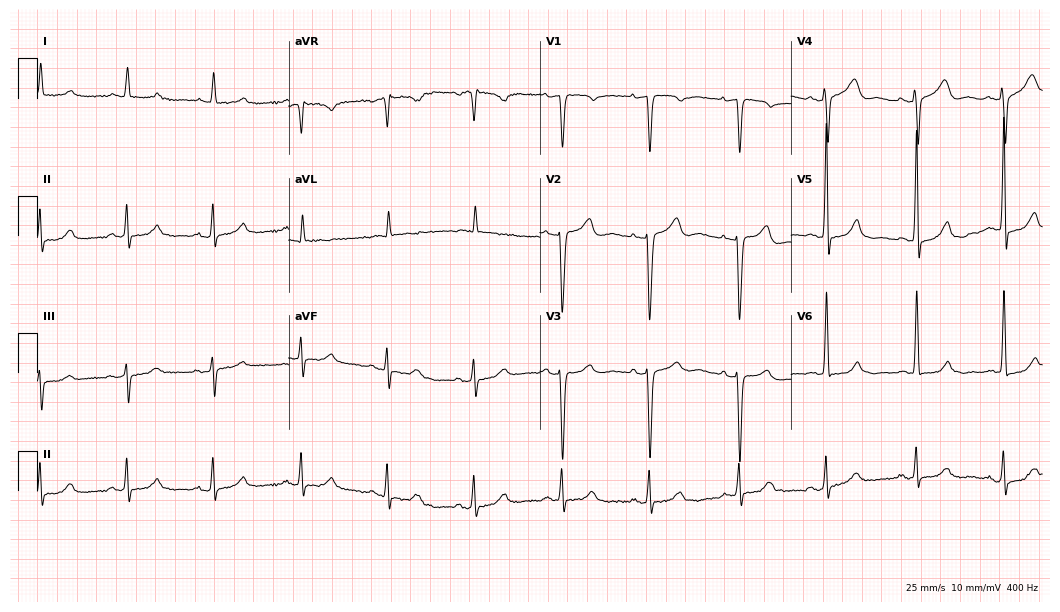
Standard 12-lead ECG recorded from a woman, 72 years old. None of these six findings is recorded: first-degree AV block, right bundle branch block (RBBB), left bundle branch block (LBBB), sinus bradycardia, atrial fibrillation (AF), sinus tachycardia. Other findings, if any, are not listed.